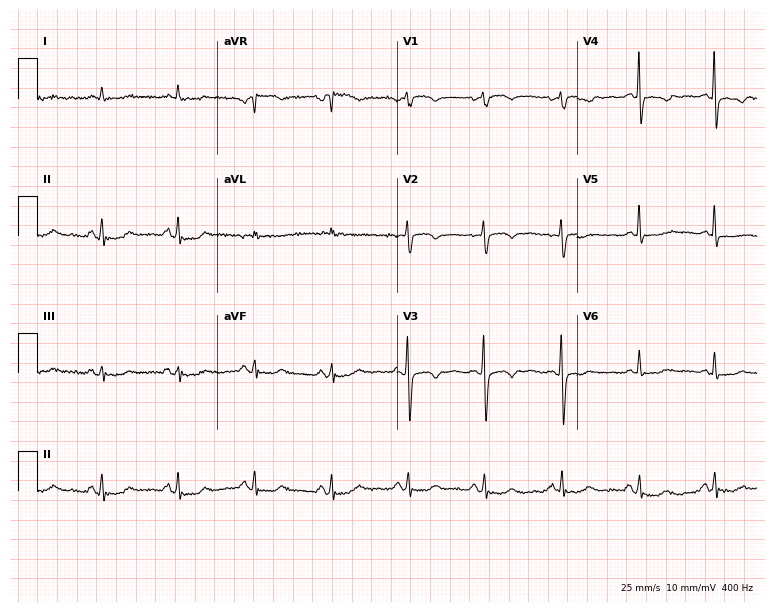
Resting 12-lead electrocardiogram. Patient: a 62-year-old woman. None of these six findings is recorded: first-degree AV block, right bundle branch block (RBBB), left bundle branch block (LBBB), sinus bradycardia, atrial fibrillation (AF), sinus tachycardia. Findings outside these six are not listed.